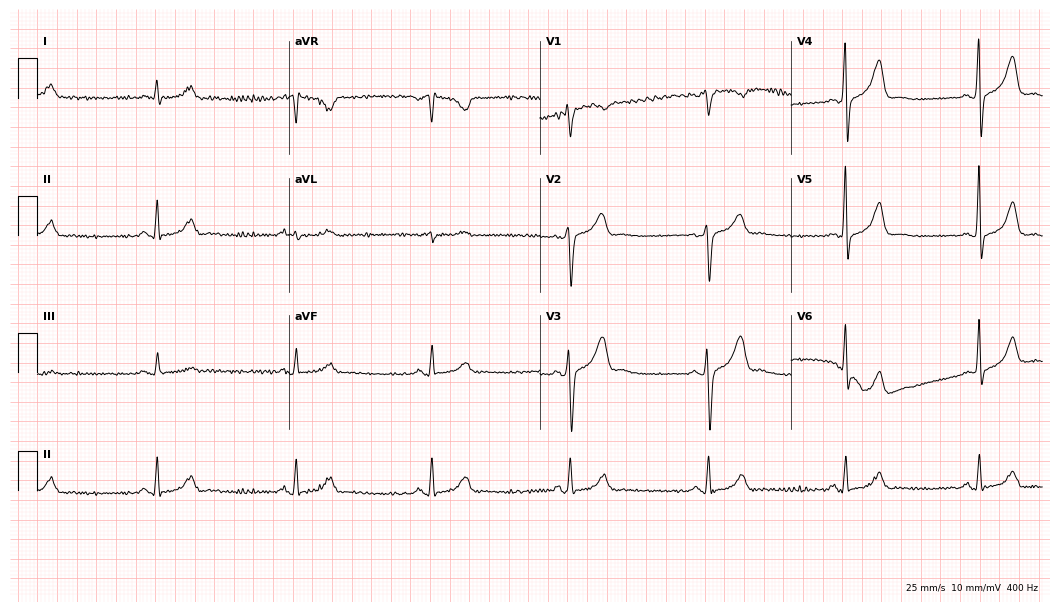
ECG (10.2-second recording at 400 Hz) — a 64-year-old male. Screened for six findings — first-degree AV block, right bundle branch block, left bundle branch block, sinus bradycardia, atrial fibrillation, sinus tachycardia — none is recorded.